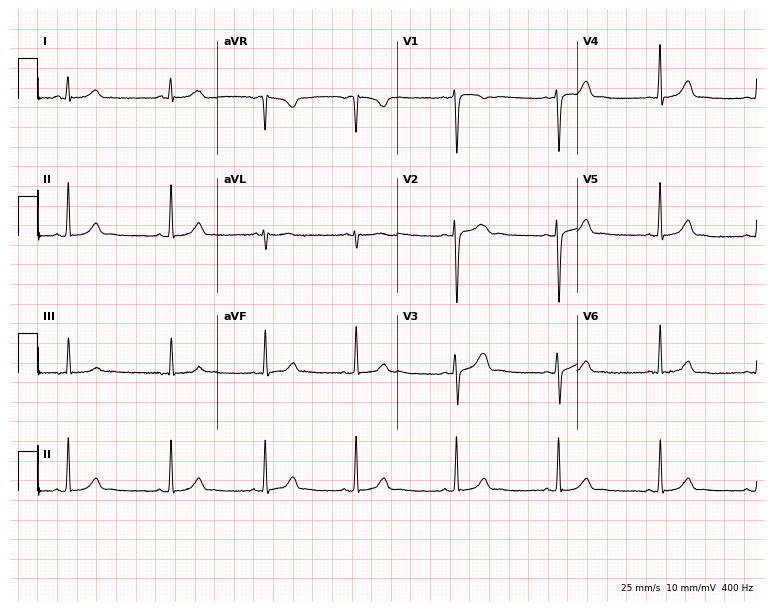
12-lead ECG (7.3-second recording at 400 Hz) from a 26-year-old woman. Labelled as a normal ECG.